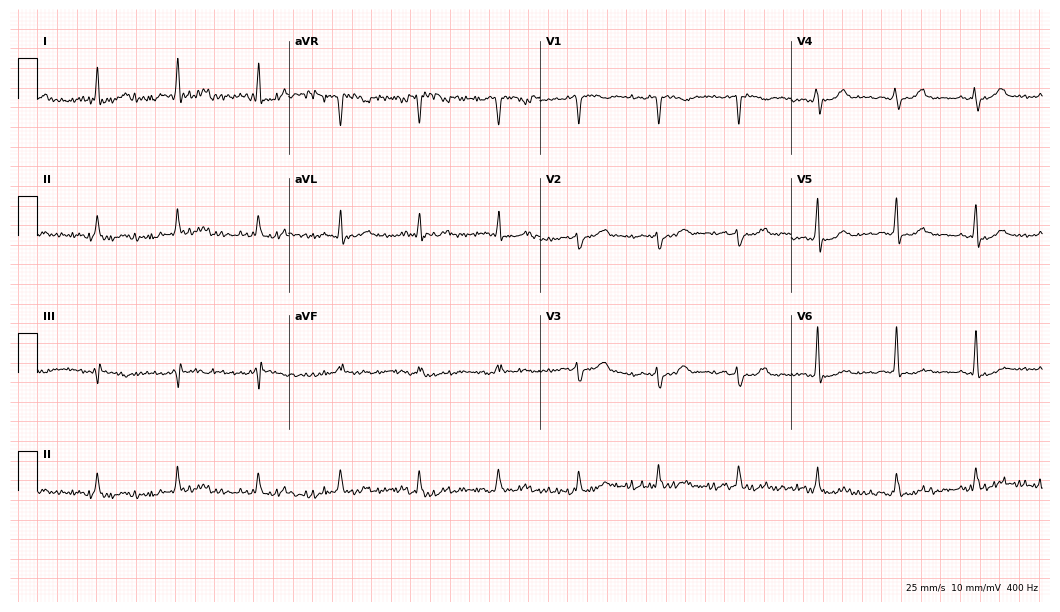
12-lead ECG from a 68-year-old woman (10.2-second recording at 400 Hz). No first-degree AV block, right bundle branch block, left bundle branch block, sinus bradycardia, atrial fibrillation or sinus tachycardia recorded for this tracing.